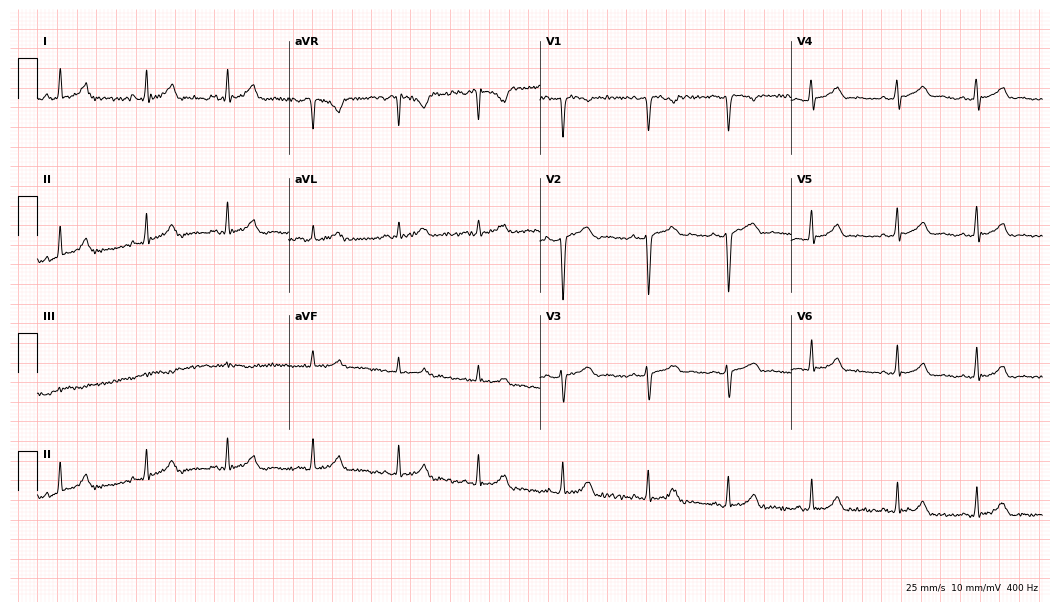
12-lead ECG from a female patient, 31 years old. Recorded interpretation: within normal limits.